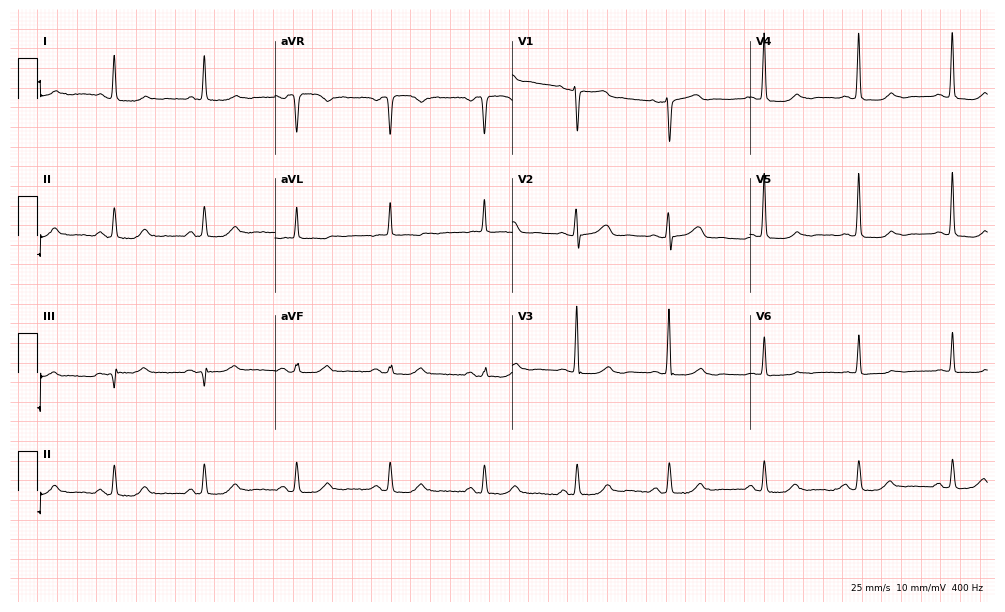
Resting 12-lead electrocardiogram. Patient: a 75-year-old female. None of these six findings is recorded: first-degree AV block, right bundle branch block, left bundle branch block, sinus bradycardia, atrial fibrillation, sinus tachycardia. Other findings, if any, are not listed.